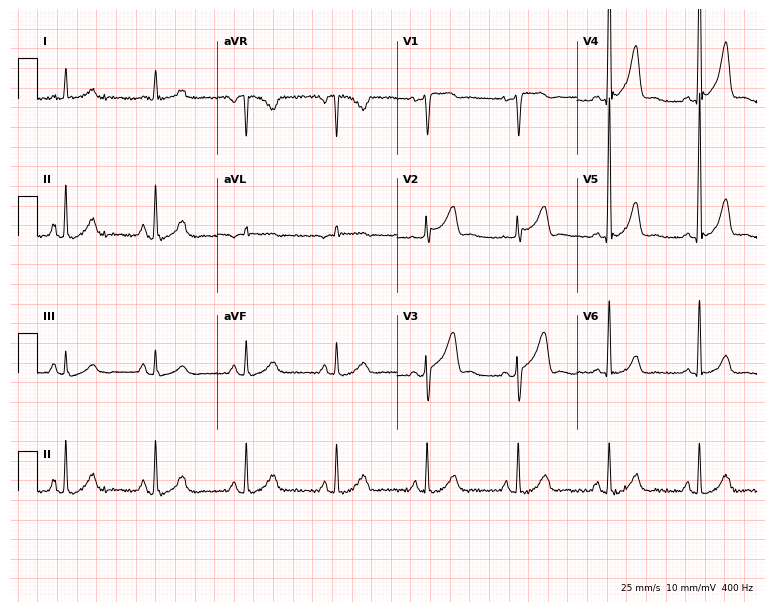
12-lead ECG from a woman, 65 years old (7.3-second recording at 400 Hz). Recorded interpretation: within normal limits.